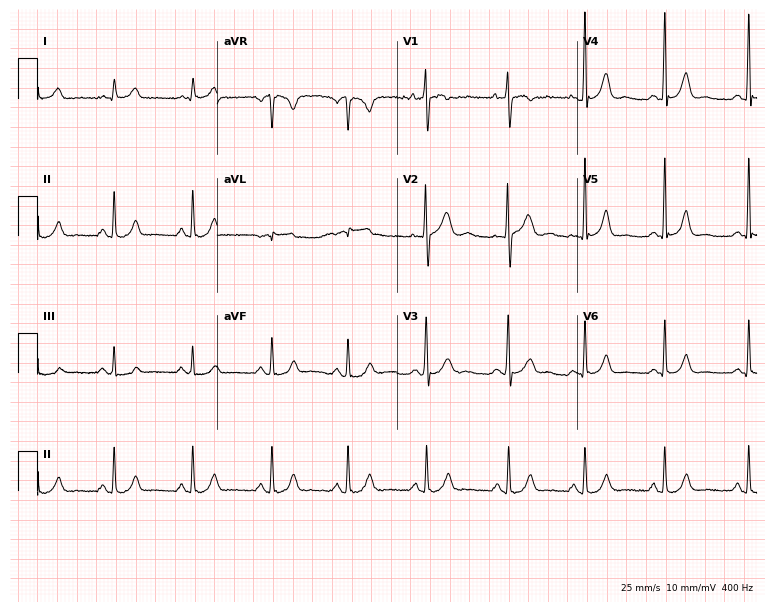
Standard 12-lead ECG recorded from a 22-year-old female patient (7.3-second recording at 400 Hz). Read as a normal ECG.